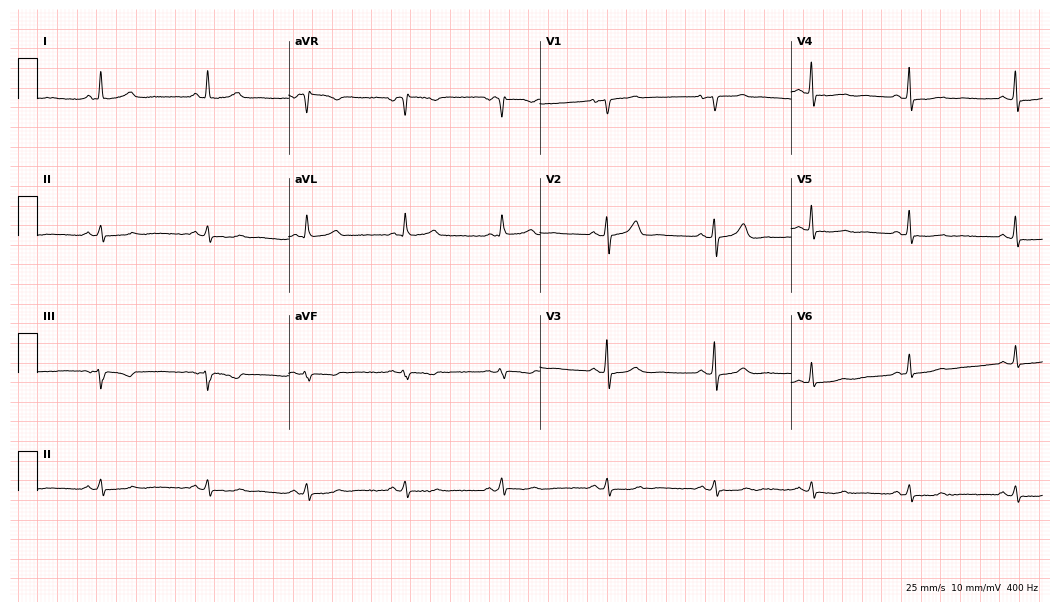
ECG (10.2-second recording at 400 Hz) — a female, 58 years old. Screened for six findings — first-degree AV block, right bundle branch block, left bundle branch block, sinus bradycardia, atrial fibrillation, sinus tachycardia — none is recorded. Findings outside these six are not listed.